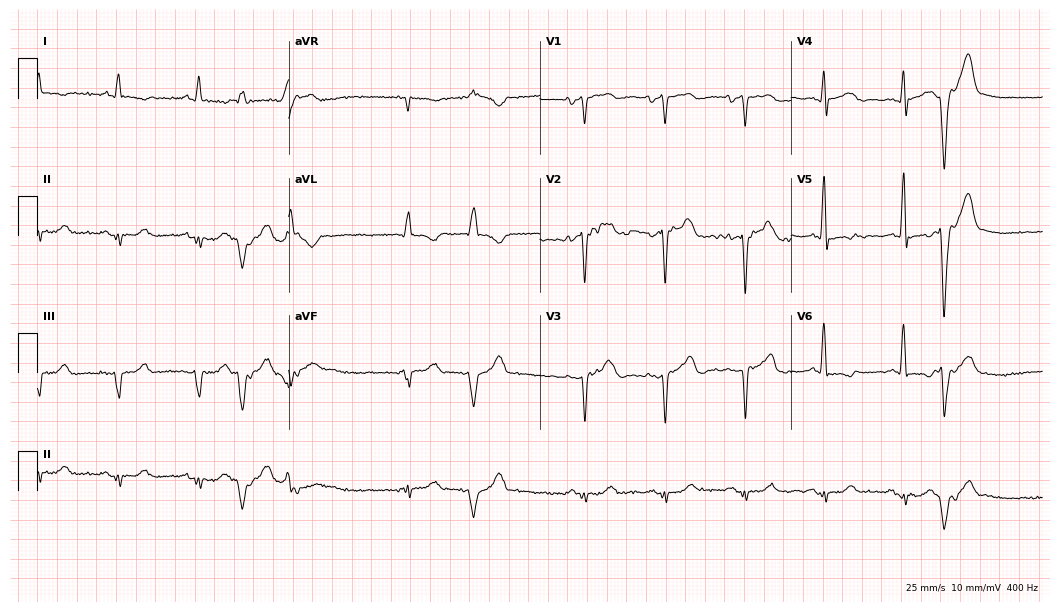
ECG — an 84-year-old man. Screened for six findings — first-degree AV block, right bundle branch block, left bundle branch block, sinus bradycardia, atrial fibrillation, sinus tachycardia — none is recorded.